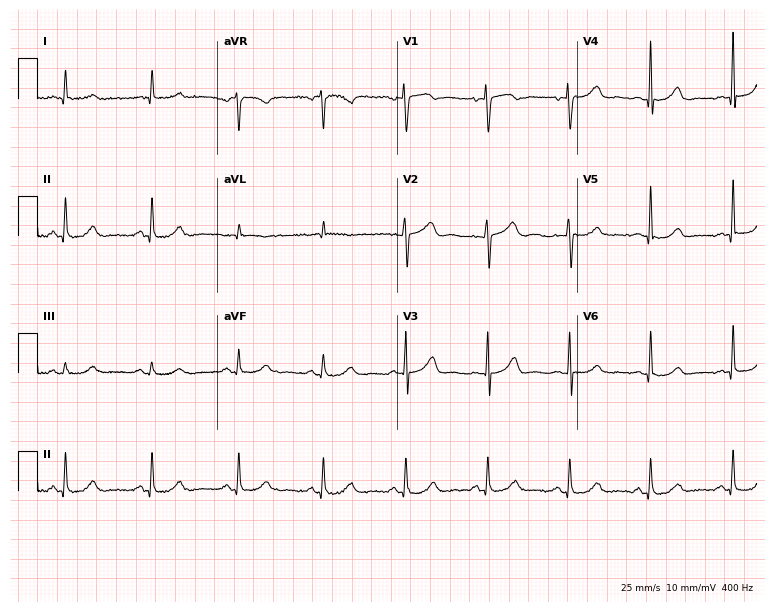
ECG — a female patient, 62 years old. Labelled as a normal ECG.